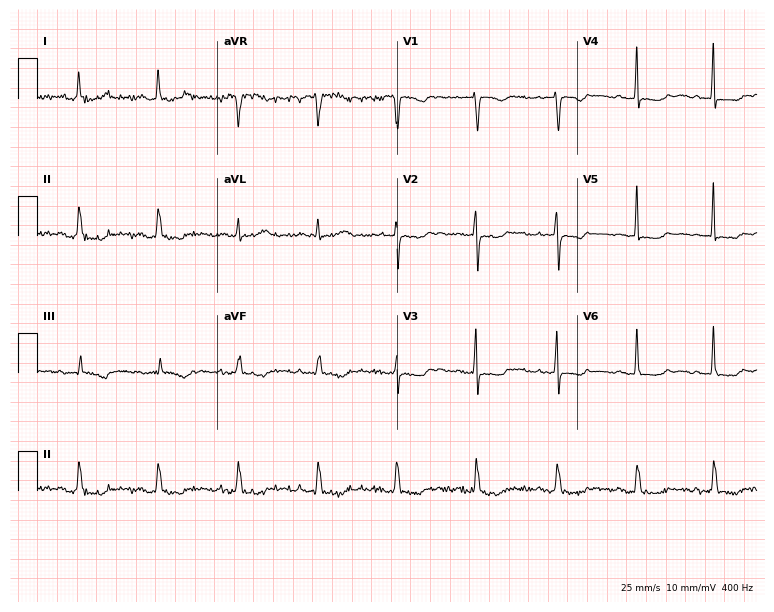
12-lead ECG from a female patient, 77 years old. No first-degree AV block, right bundle branch block, left bundle branch block, sinus bradycardia, atrial fibrillation or sinus tachycardia recorded for this tracing. Findings outside these six are not listed.